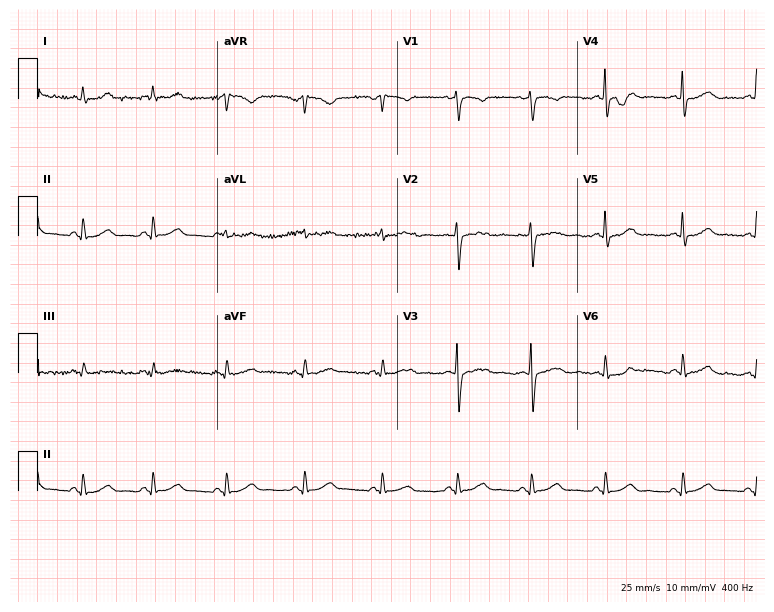
12-lead ECG from a female, 57 years old (7.3-second recording at 400 Hz). No first-degree AV block, right bundle branch block, left bundle branch block, sinus bradycardia, atrial fibrillation or sinus tachycardia recorded for this tracing. Only these six findings were labelled.